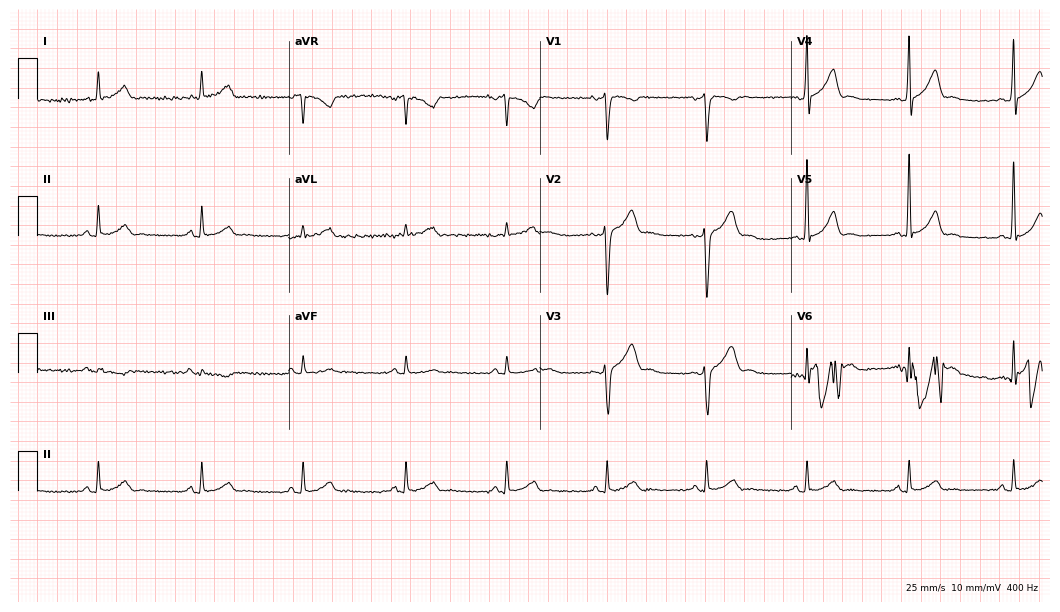
Standard 12-lead ECG recorded from a 44-year-old male (10.2-second recording at 400 Hz). Read as a normal ECG.